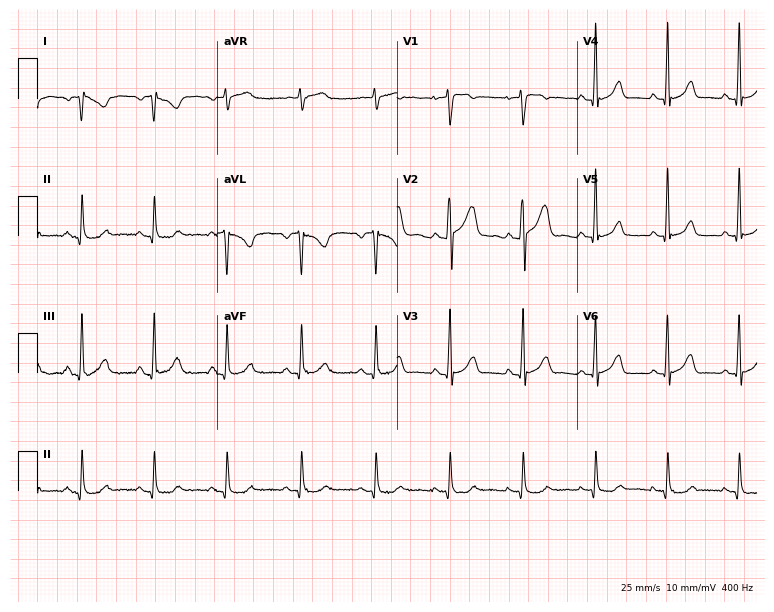
ECG (7.3-second recording at 400 Hz) — a 49-year-old woman. Screened for six findings — first-degree AV block, right bundle branch block, left bundle branch block, sinus bradycardia, atrial fibrillation, sinus tachycardia — none is recorded. Only these six findings were labelled.